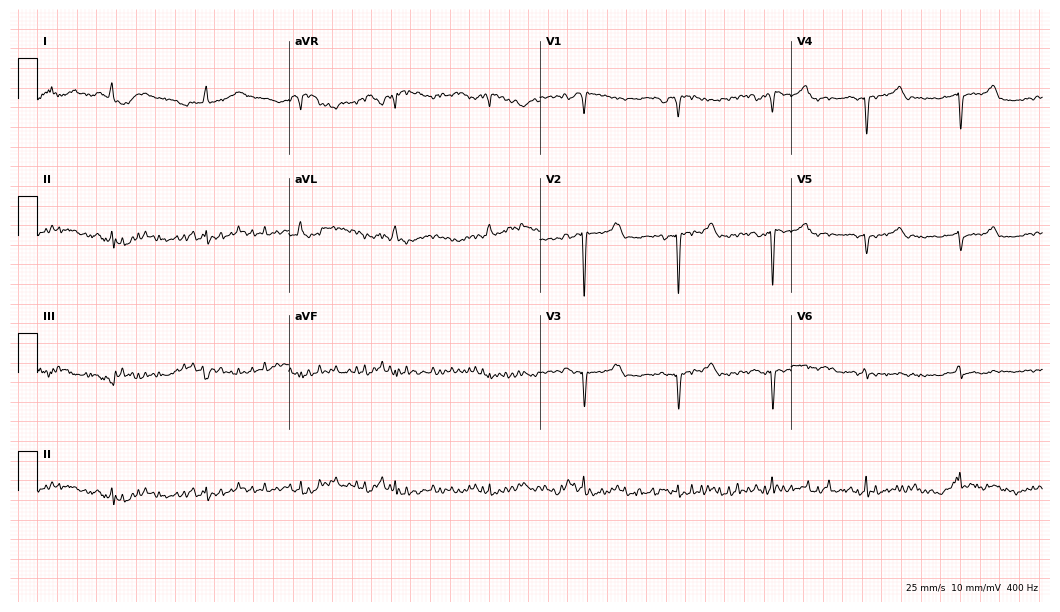
Electrocardiogram (10.2-second recording at 400 Hz), a woman, 80 years old. Of the six screened findings (first-degree AV block, right bundle branch block, left bundle branch block, sinus bradycardia, atrial fibrillation, sinus tachycardia), none is recorded.